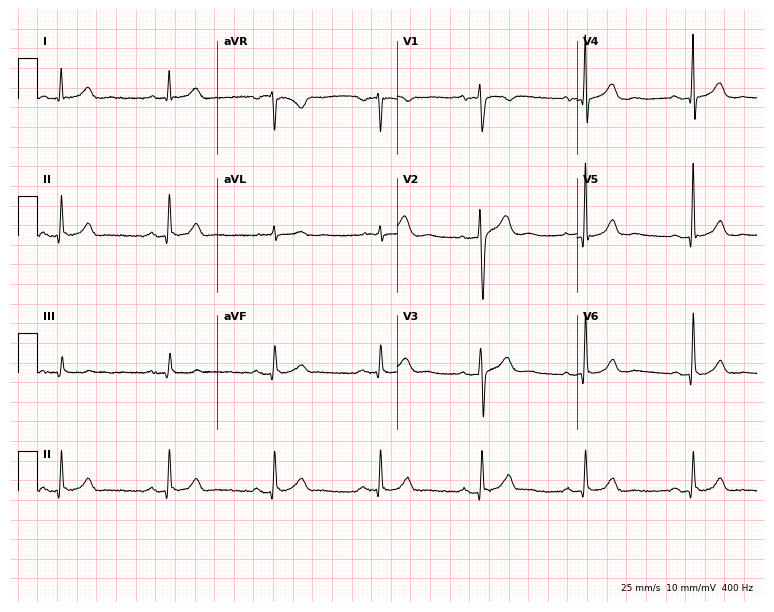
Electrocardiogram, a male, 52 years old. Of the six screened findings (first-degree AV block, right bundle branch block, left bundle branch block, sinus bradycardia, atrial fibrillation, sinus tachycardia), none is recorded. Only these six findings were labelled.